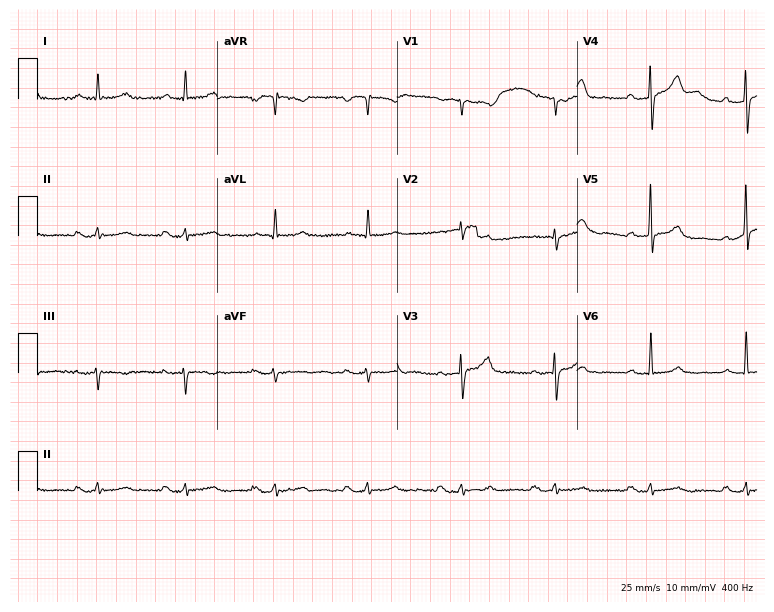
12-lead ECG from a man, 72 years old (7.3-second recording at 400 Hz). Shows first-degree AV block.